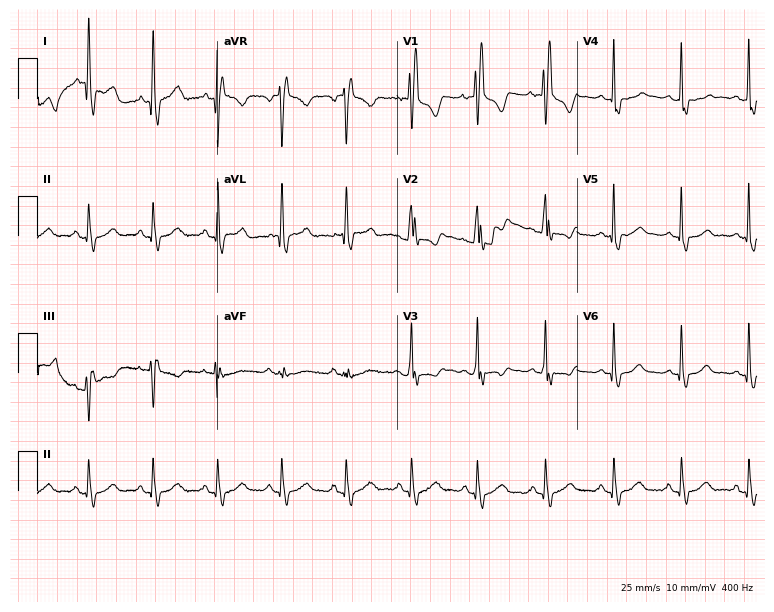
Standard 12-lead ECG recorded from a 56-year-old male (7.3-second recording at 400 Hz). The tracing shows right bundle branch block.